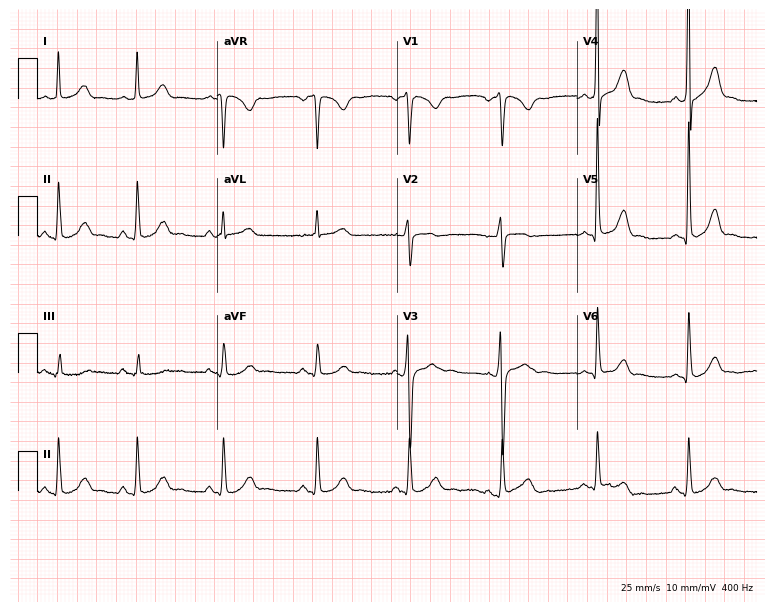
Standard 12-lead ECG recorded from a 26-year-old male patient. Read as a normal ECG.